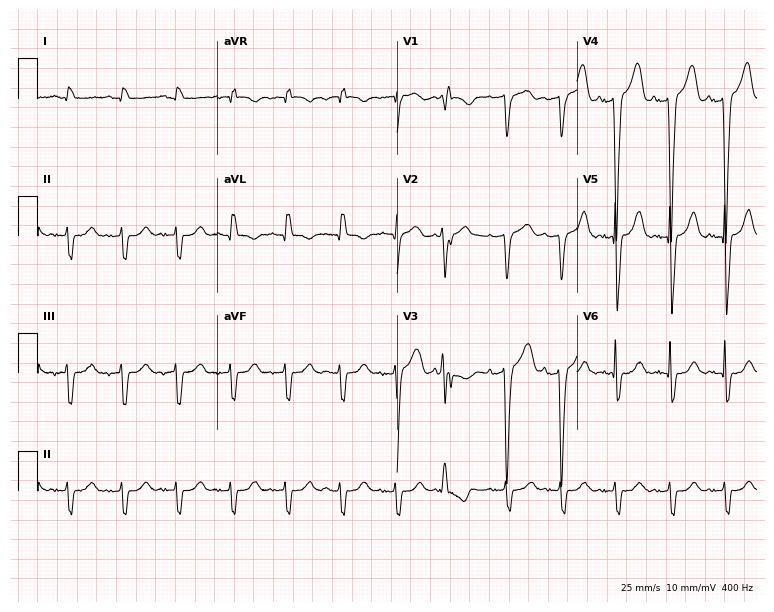
Electrocardiogram, a male, 81 years old. Of the six screened findings (first-degree AV block, right bundle branch block (RBBB), left bundle branch block (LBBB), sinus bradycardia, atrial fibrillation (AF), sinus tachycardia), none is recorded. Findings outside these six are not listed.